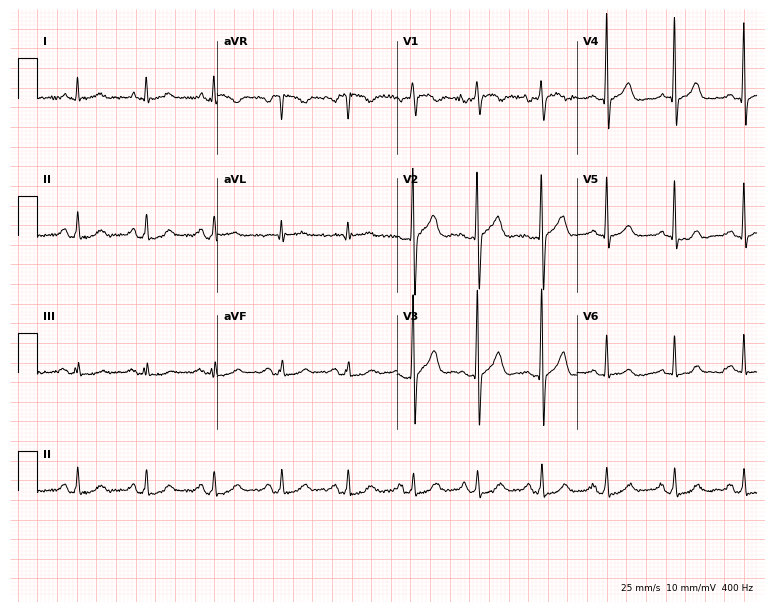
Resting 12-lead electrocardiogram (7.3-second recording at 400 Hz). Patient: a male, 73 years old. Read as a normal ECG.